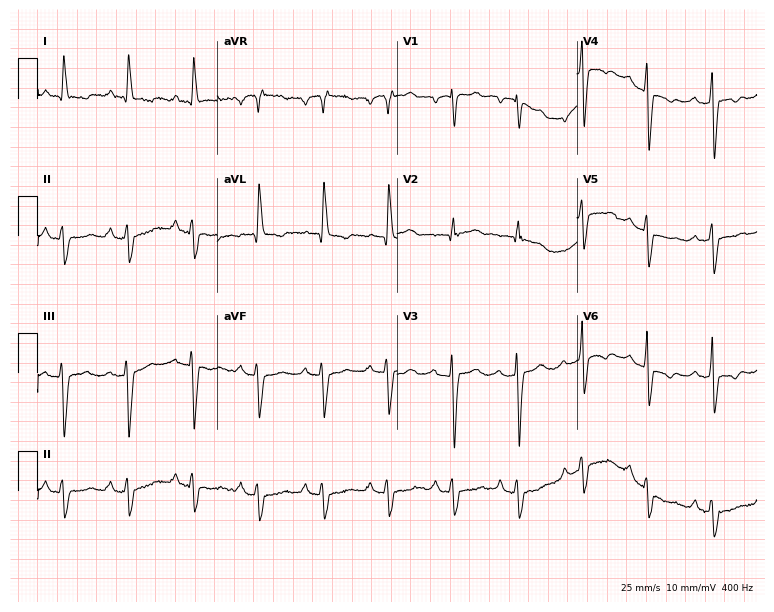
Standard 12-lead ECG recorded from an 84-year-old female (7.3-second recording at 400 Hz). None of these six findings is recorded: first-degree AV block, right bundle branch block, left bundle branch block, sinus bradycardia, atrial fibrillation, sinus tachycardia.